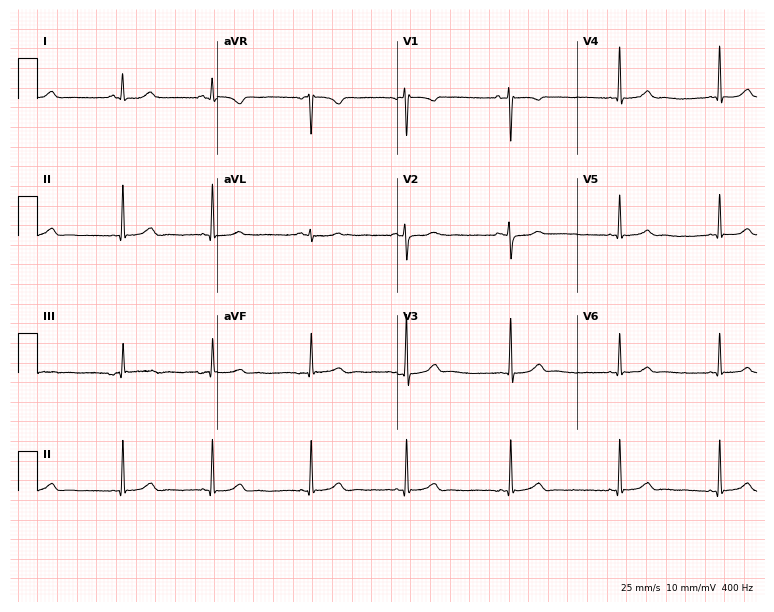
Standard 12-lead ECG recorded from a 17-year-old female. Read as a normal ECG.